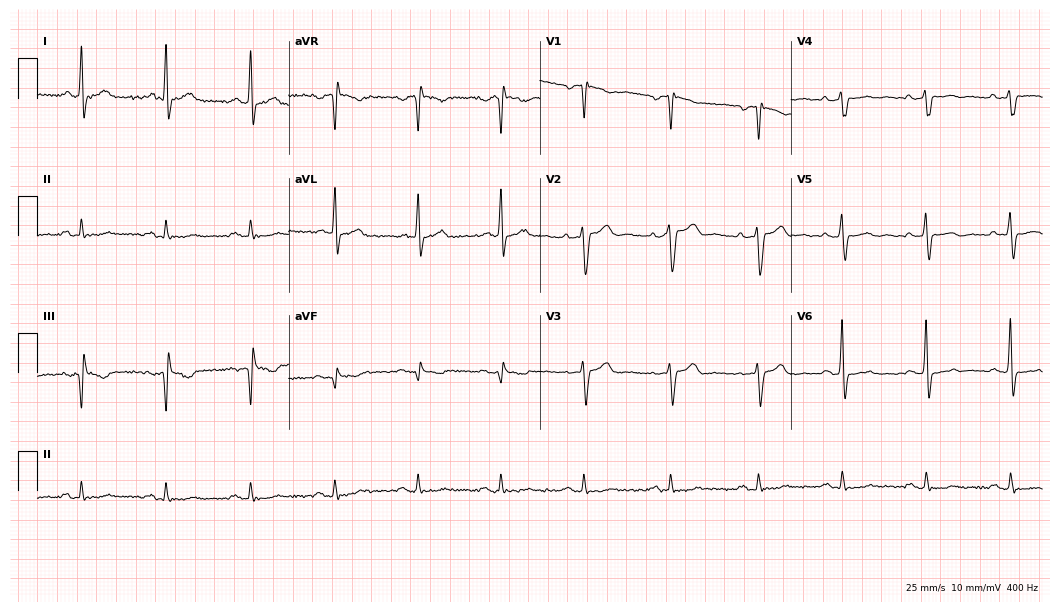
Standard 12-lead ECG recorded from a 63-year-old male patient (10.2-second recording at 400 Hz). None of these six findings is recorded: first-degree AV block, right bundle branch block (RBBB), left bundle branch block (LBBB), sinus bradycardia, atrial fibrillation (AF), sinus tachycardia. Only these six findings were labelled.